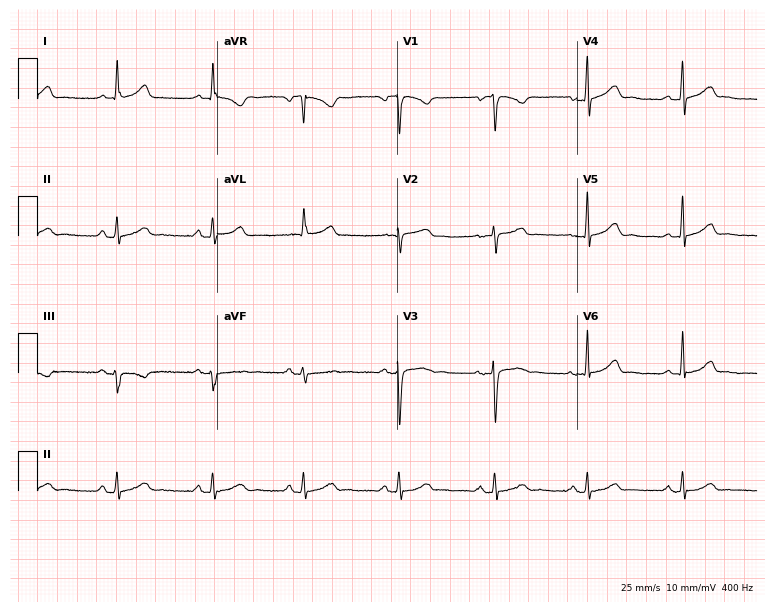
12-lead ECG from a female, 48 years old. Labelled as a normal ECG.